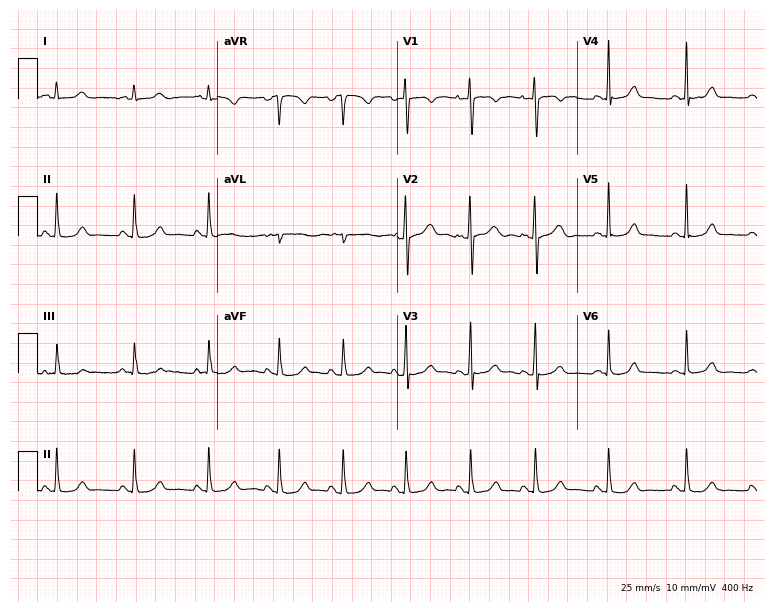
12-lead ECG from a female patient, 26 years old. Labelled as a normal ECG.